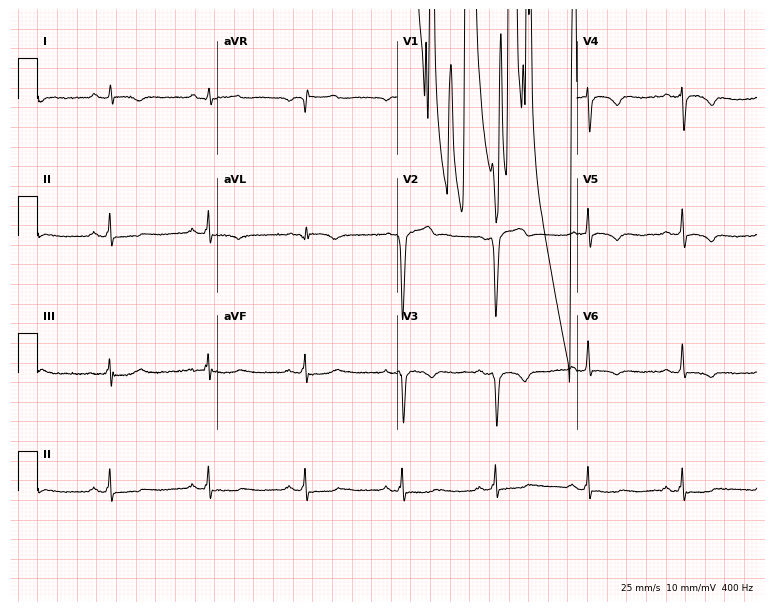
Electrocardiogram, a 47-year-old male. Of the six screened findings (first-degree AV block, right bundle branch block, left bundle branch block, sinus bradycardia, atrial fibrillation, sinus tachycardia), none is recorded. Only these six findings were labelled.